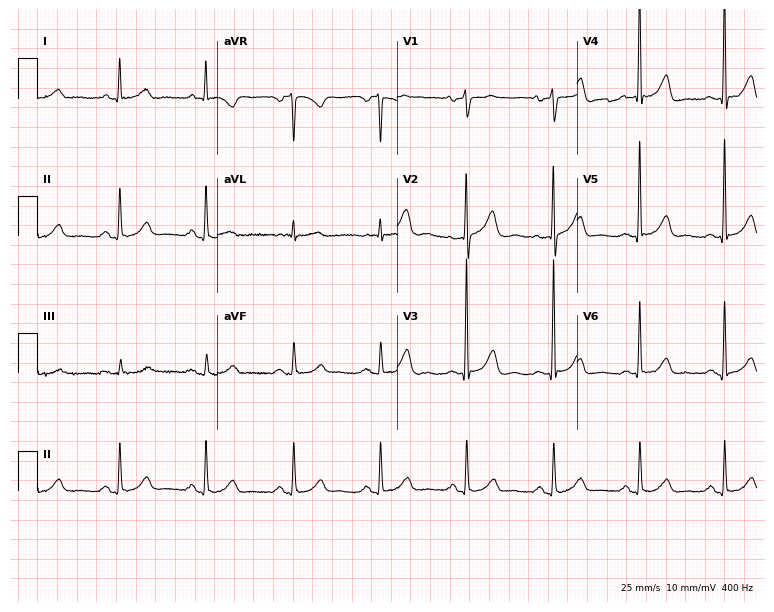
12-lead ECG from a female patient, 74 years old. Screened for six findings — first-degree AV block, right bundle branch block, left bundle branch block, sinus bradycardia, atrial fibrillation, sinus tachycardia — none is recorded.